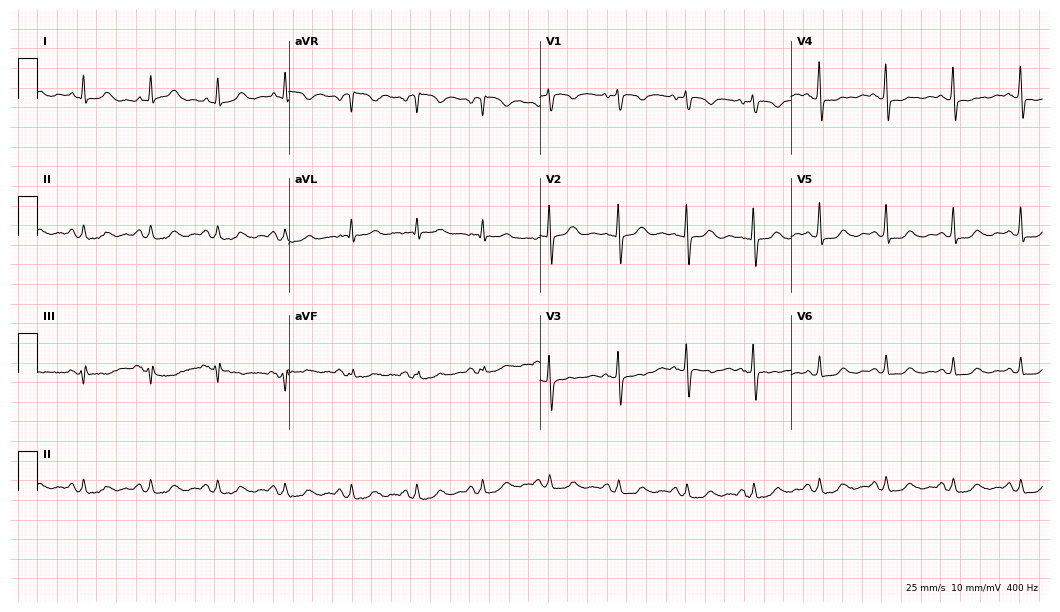
ECG (10.2-second recording at 400 Hz) — a 61-year-old woman. Screened for six findings — first-degree AV block, right bundle branch block, left bundle branch block, sinus bradycardia, atrial fibrillation, sinus tachycardia — none is recorded.